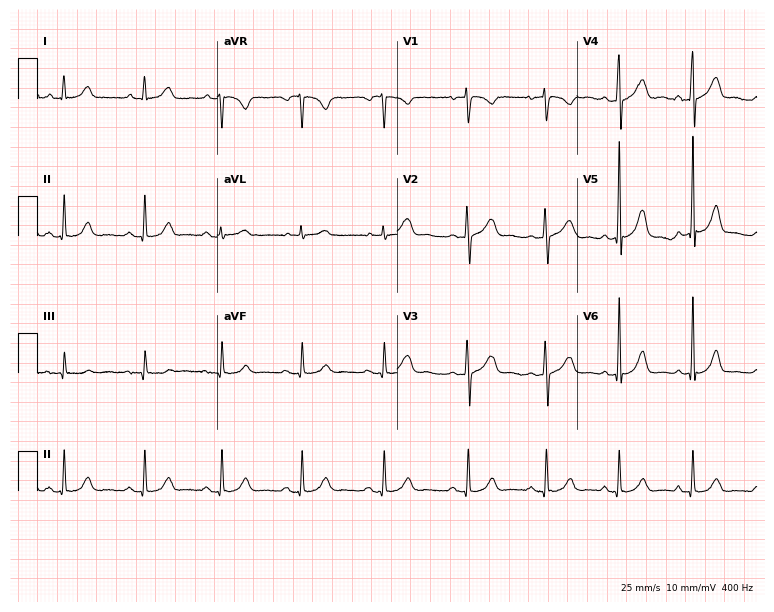
Electrocardiogram, a 33-year-old woman. Of the six screened findings (first-degree AV block, right bundle branch block (RBBB), left bundle branch block (LBBB), sinus bradycardia, atrial fibrillation (AF), sinus tachycardia), none is recorded.